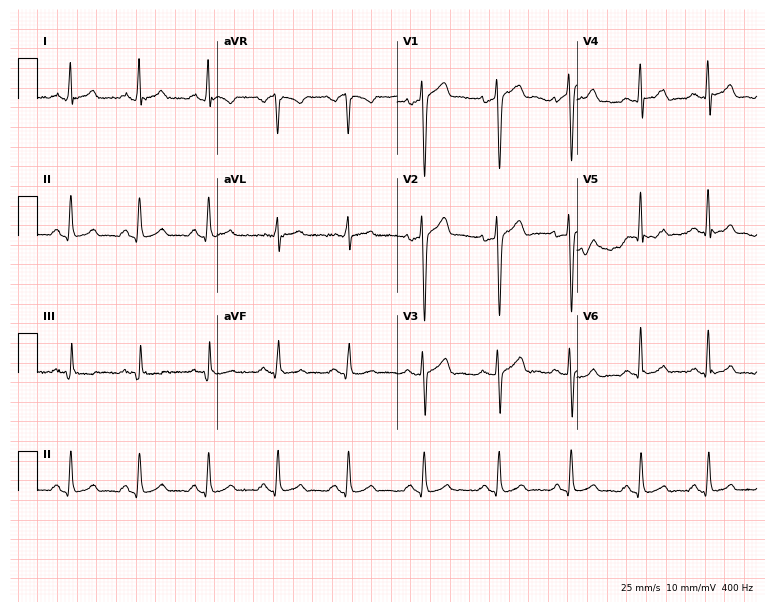
12-lead ECG from a 24-year-old man. Screened for six findings — first-degree AV block, right bundle branch block (RBBB), left bundle branch block (LBBB), sinus bradycardia, atrial fibrillation (AF), sinus tachycardia — none is recorded. Findings outside these six are not listed.